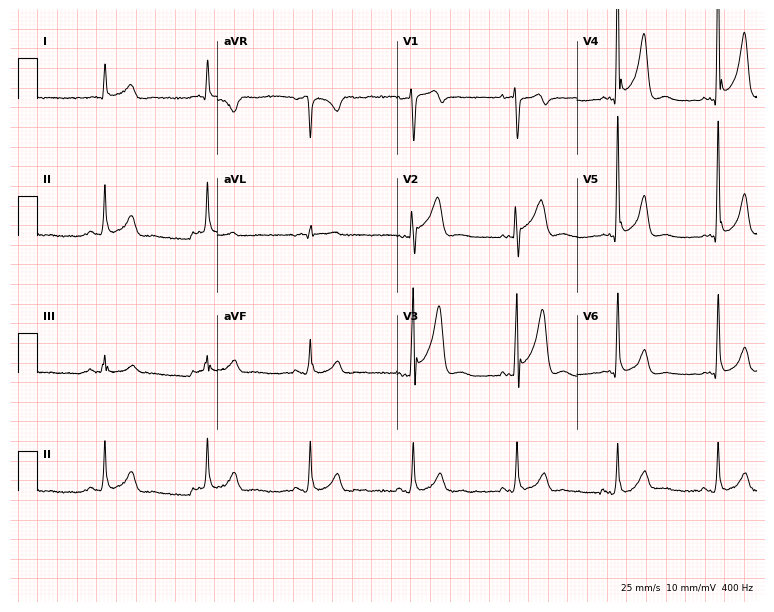
12-lead ECG from a man, 73 years old (7.3-second recording at 400 Hz). No first-degree AV block, right bundle branch block (RBBB), left bundle branch block (LBBB), sinus bradycardia, atrial fibrillation (AF) or sinus tachycardia recorded for this tracing. Other findings, if any, are not listed.